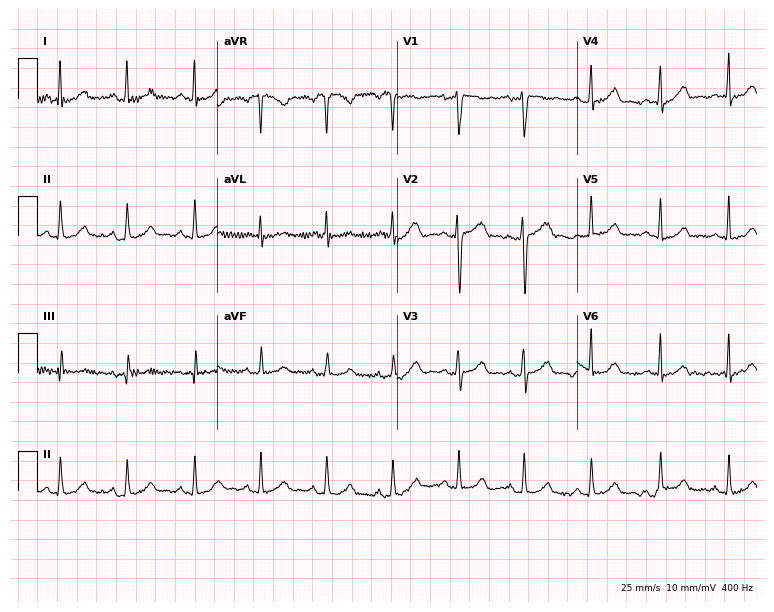
Standard 12-lead ECG recorded from a 26-year-old woman. None of these six findings is recorded: first-degree AV block, right bundle branch block, left bundle branch block, sinus bradycardia, atrial fibrillation, sinus tachycardia. Findings outside these six are not listed.